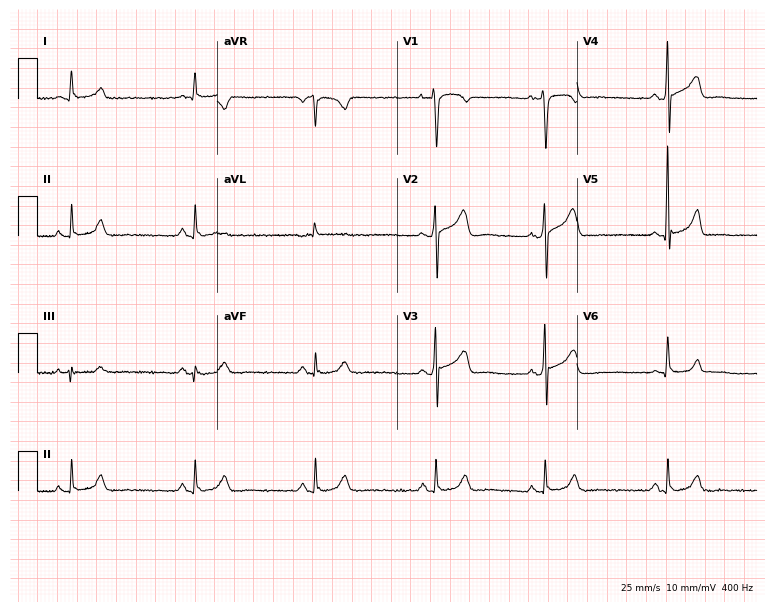
Electrocardiogram, a 46-year-old male patient. Overall reading on record: normal ECG.